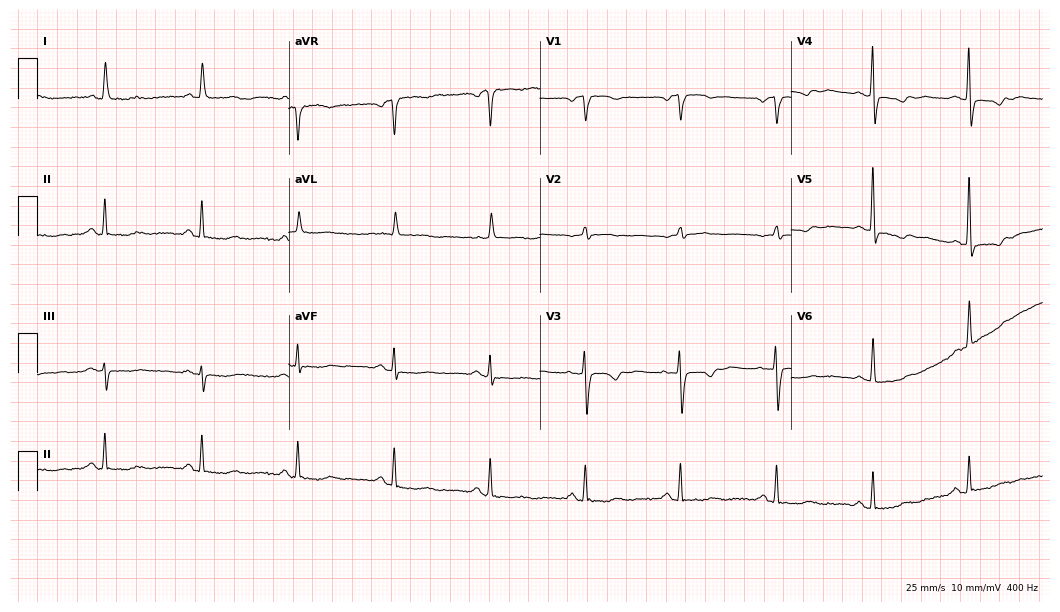
12-lead ECG from an 83-year-old female patient. Screened for six findings — first-degree AV block, right bundle branch block, left bundle branch block, sinus bradycardia, atrial fibrillation, sinus tachycardia — none is recorded.